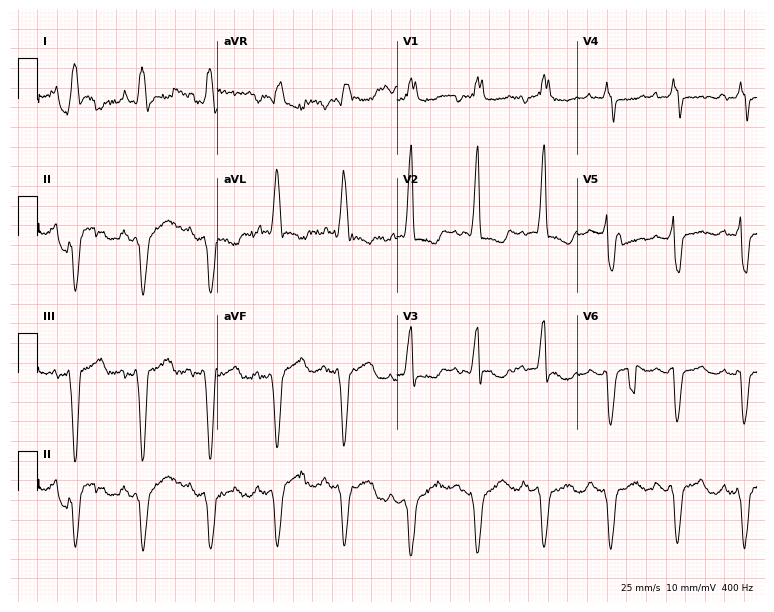
12-lead ECG from a female, 75 years old. Shows right bundle branch block.